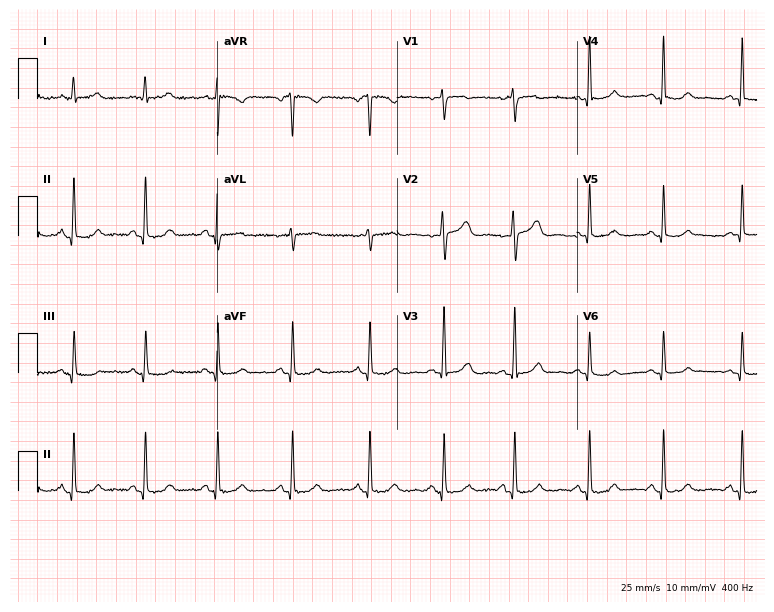
Standard 12-lead ECG recorded from a 38-year-old female patient (7.3-second recording at 400 Hz). Read as a normal ECG.